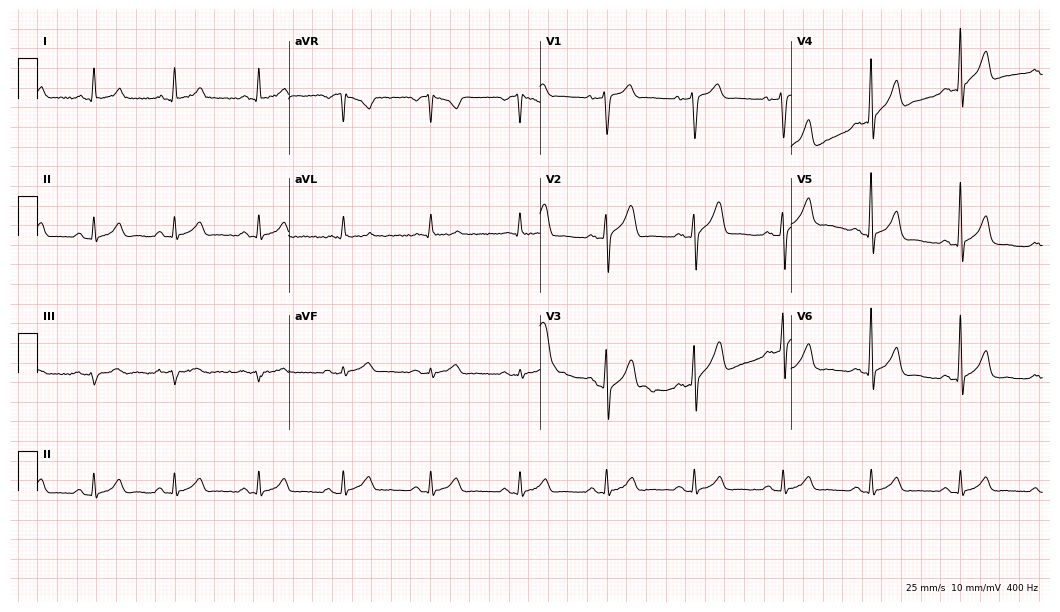
ECG (10.2-second recording at 400 Hz) — a 56-year-old man. Labelled as a normal ECG.